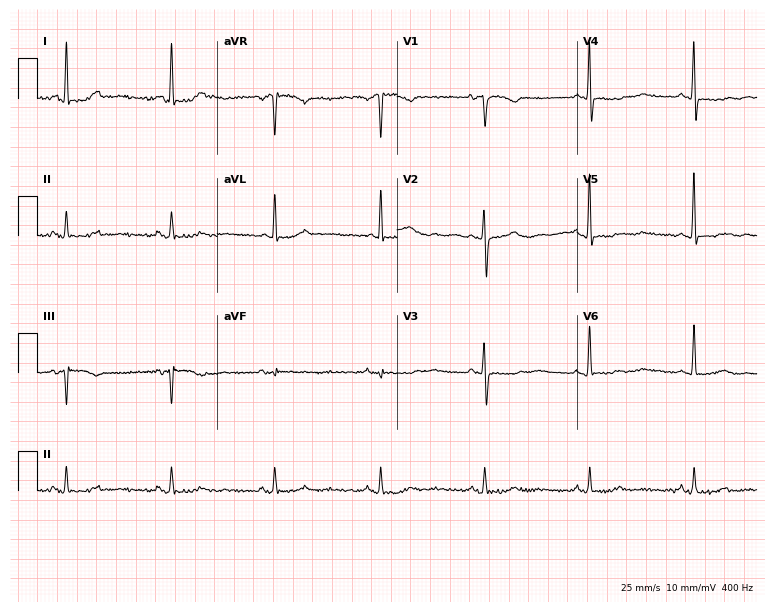
Standard 12-lead ECG recorded from a female, 71 years old. None of these six findings is recorded: first-degree AV block, right bundle branch block, left bundle branch block, sinus bradycardia, atrial fibrillation, sinus tachycardia.